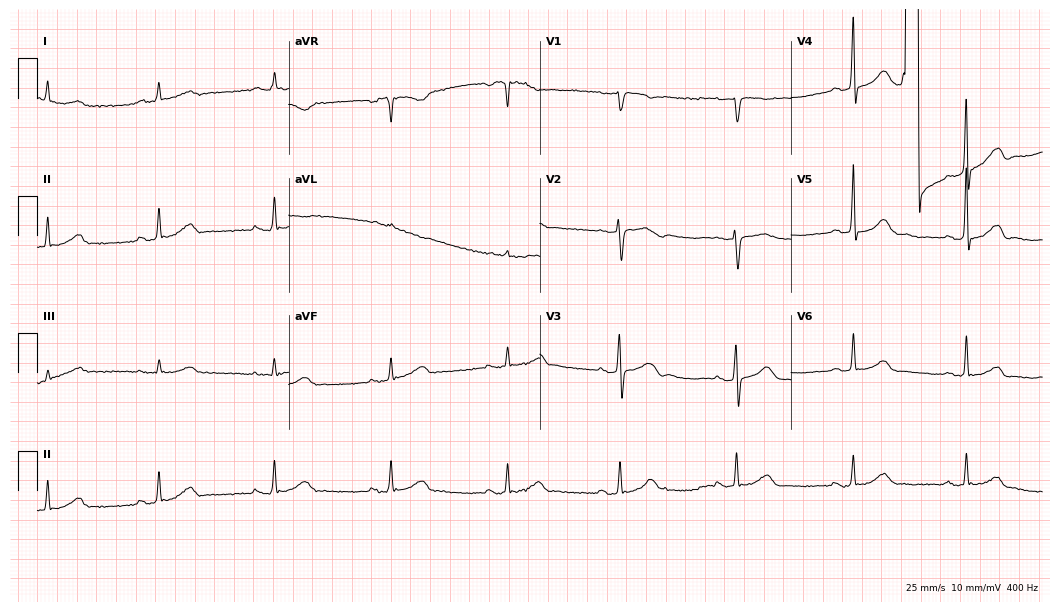
12-lead ECG (10.2-second recording at 400 Hz) from an 80-year-old woman. Screened for six findings — first-degree AV block, right bundle branch block (RBBB), left bundle branch block (LBBB), sinus bradycardia, atrial fibrillation (AF), sinus tachycardia — none is recorded. Other findings, if any, are not listed.